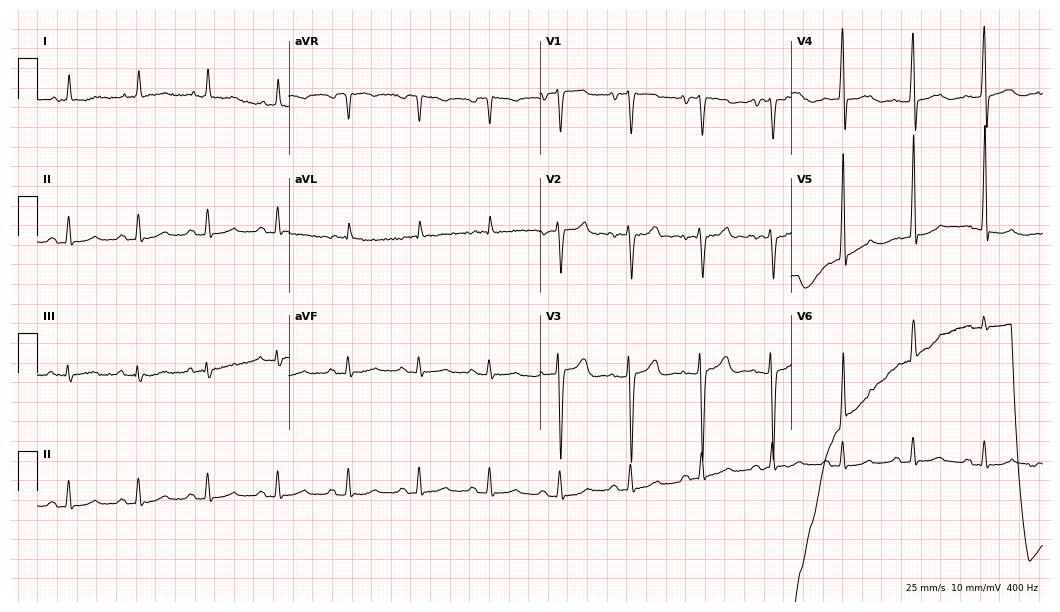
ECG — a 66-year-old man. Screened for six findings — first-degree AV block, right bundle branch block, left bundle branch block, sinus bradycardia, atrial fibrillation, sinus tachycardia — none is recorded. Only these six findings were labelled.